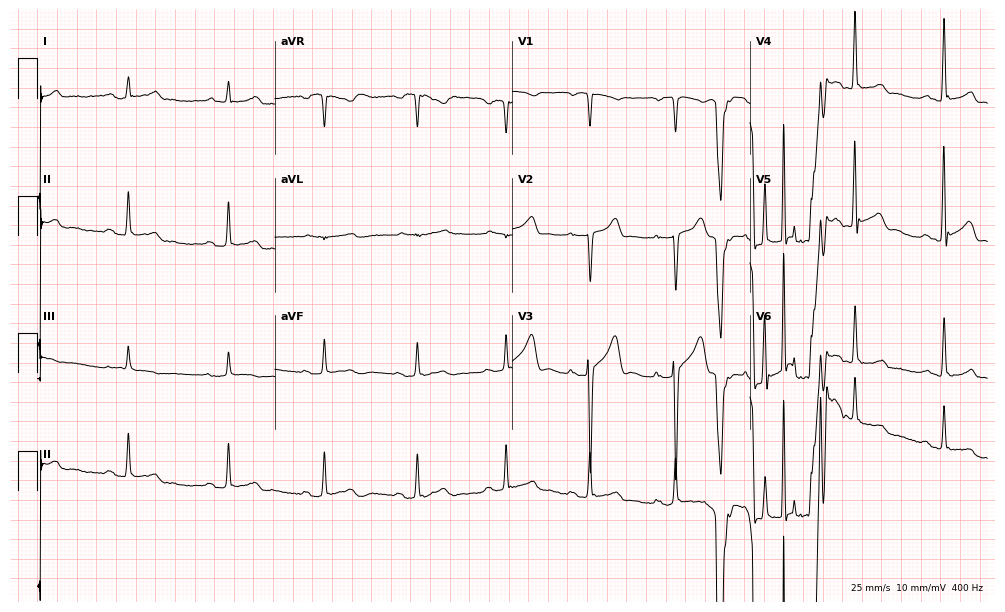
Resting 12-lead electrocardiogram. Patient: a 52-year-old male. None of these six findings is recorded: first-degree AV block, right bundle branch block, left bundle branch block, sinus bradycardia, atrial fibrillation, sinus tachycardia.